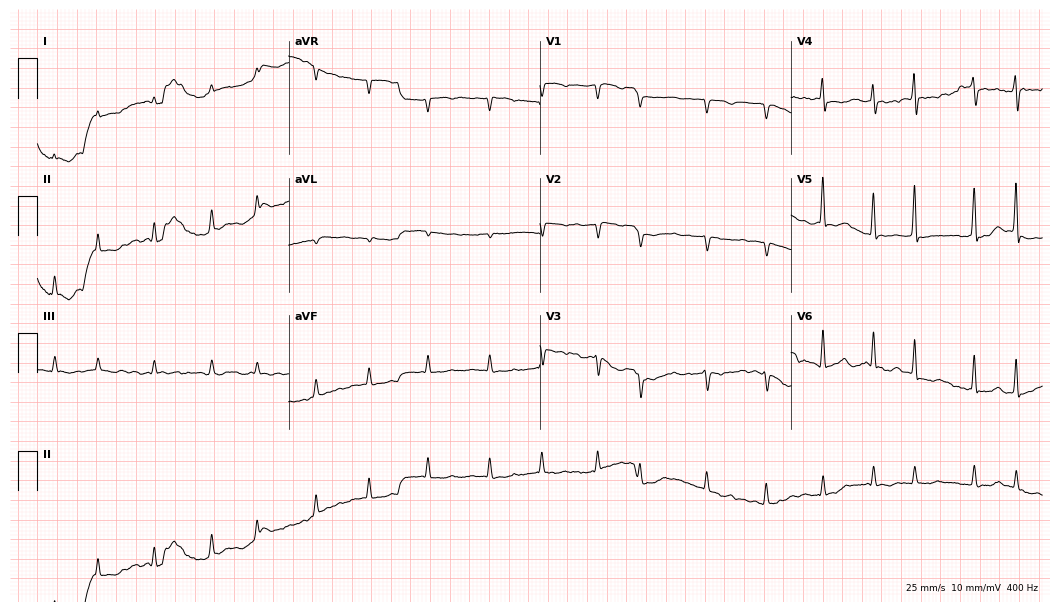
12-lead ECG from a male, 82 years old. Shows atrial fibrillation.